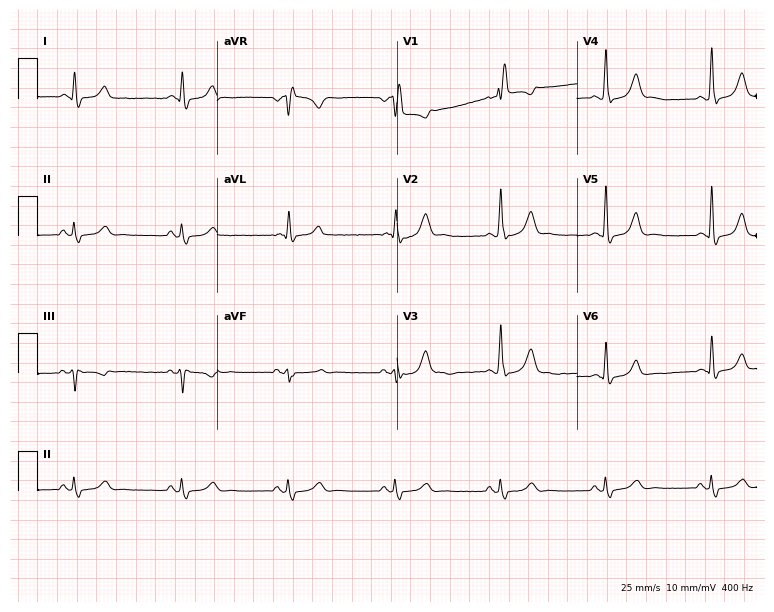
ECG (7.3-second recording at 400 Hz) — a 66-year-old male. Findings include right bundle branch block (RBBB).